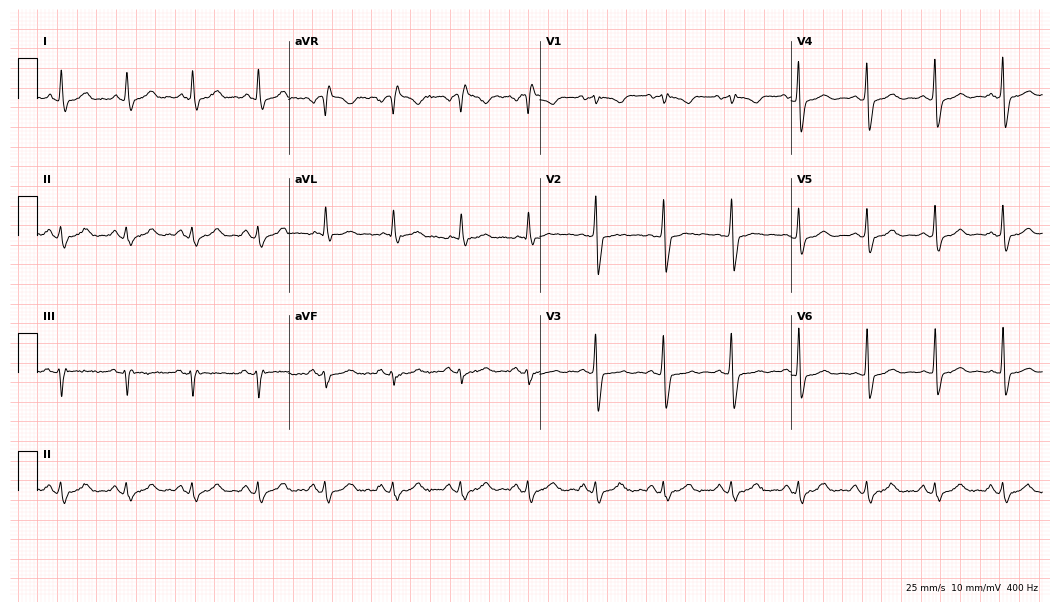
Standard 12-lead ECG recorded from a 59-year-old male patient. None of these six findings is recorded: first-degree AV block, right bundle branch block, left bundle branch block, sinus bradycardia, atrial fibrillation, sinus tachycardia.